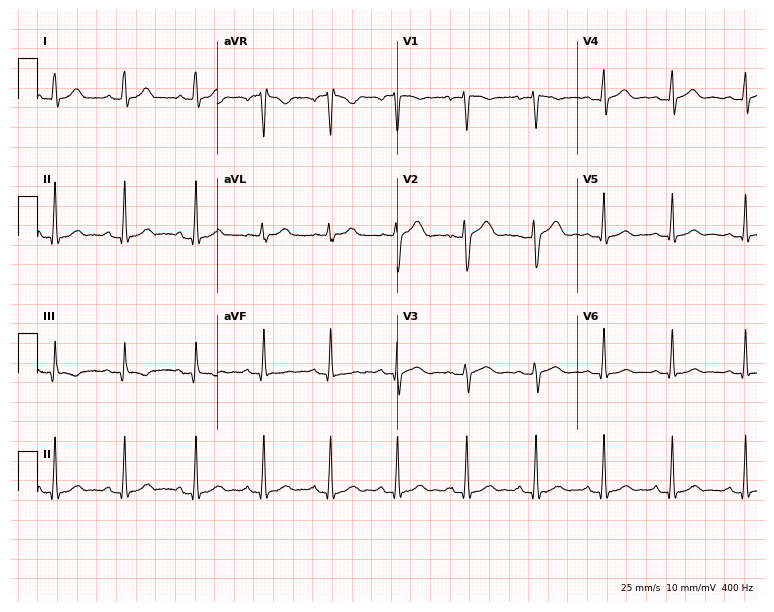
Electrocardiogram (7.3-second recording at 400 Hz), a woman, 21 years old. Of the six screened findings (first-degree AV block, right bundle branch block (RBBB), left bundle branch block (LBBB), sinus bradycardia, atrial fibrillation (AF), sinus tachycardia), none is recorded.